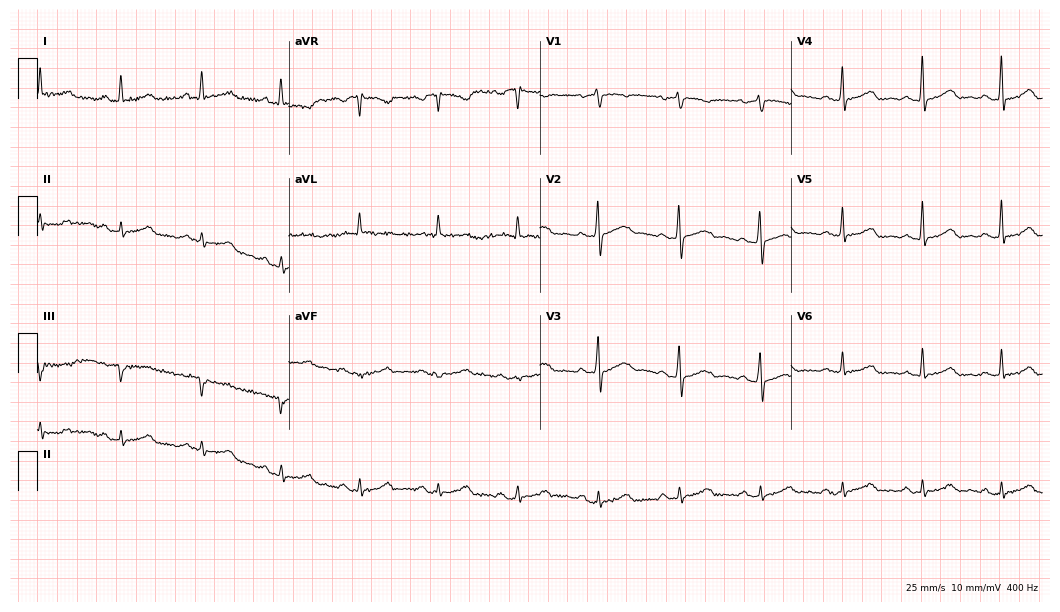
Electrocardiogram (10.2-second recording at 400 Hz), a 57-year-old female patient. Overall reading on record: normal ECG.